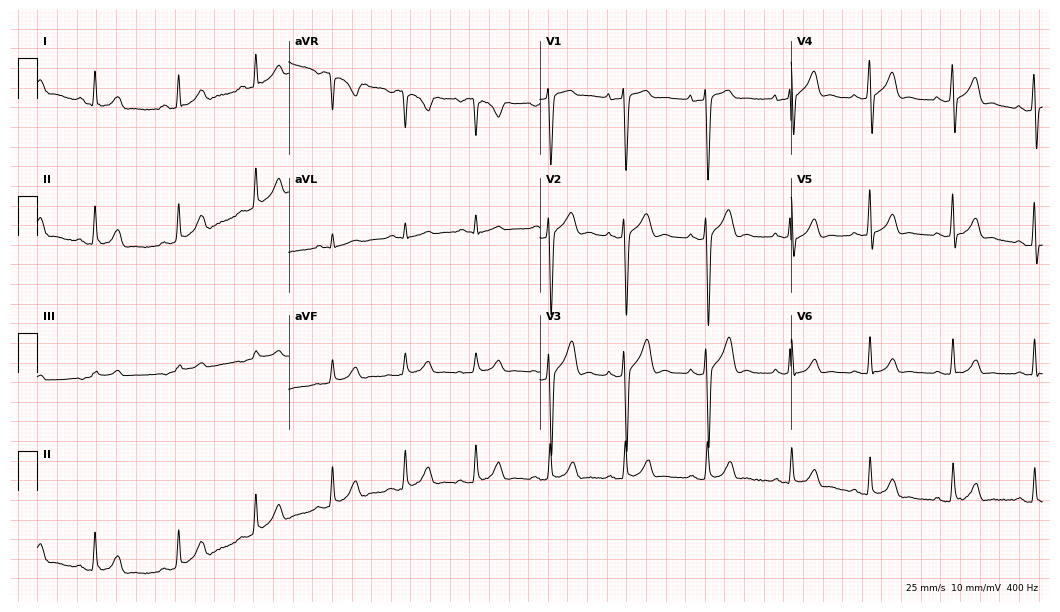
12-lead ECG from a man, 27 years old. No first-degree AV block, right bundle branch block, left bundle branch block, sinus bradycardia, atrial fibrillation or sinus tachycardia recorded for this tracing. Only these six findings were labelled.